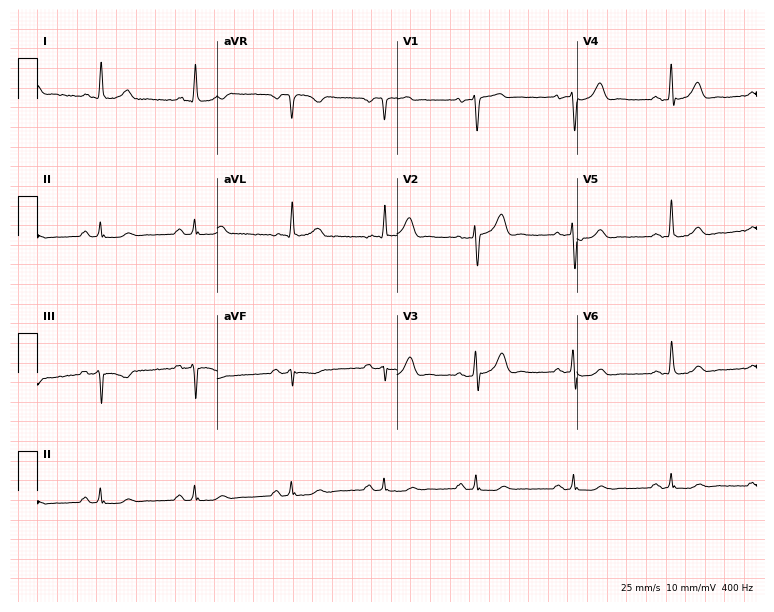
Standard 12-lead ECG recorded from a 58-year-old male patient. None of these six findings is recorded: first-degree AV block, right bundle branch block, left bundle branch block, sinus bradycardia, atrial fibrillation, sinus tachycardia. Other findings, if any, are not listed.